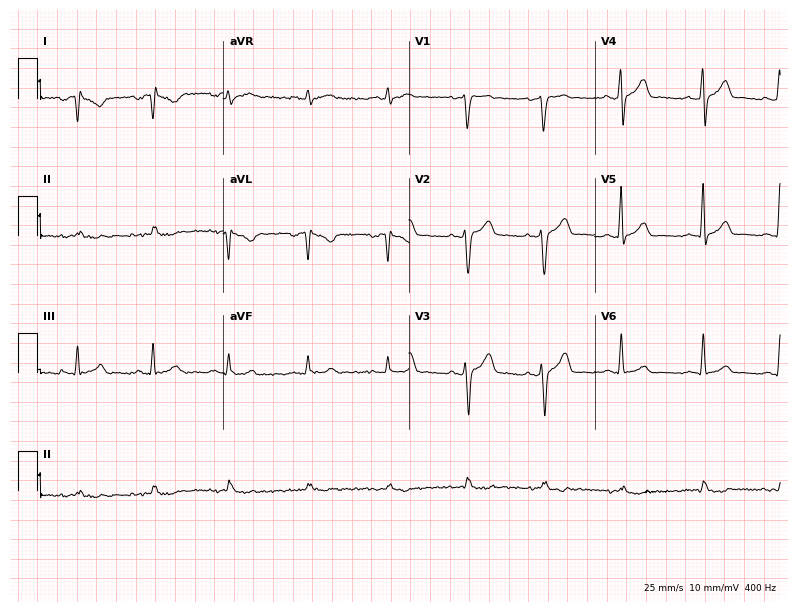
12-lead ECG from a male, 27 years old (7.6-second recording at 400 Hz). Recorded interpretation: within normal limits.